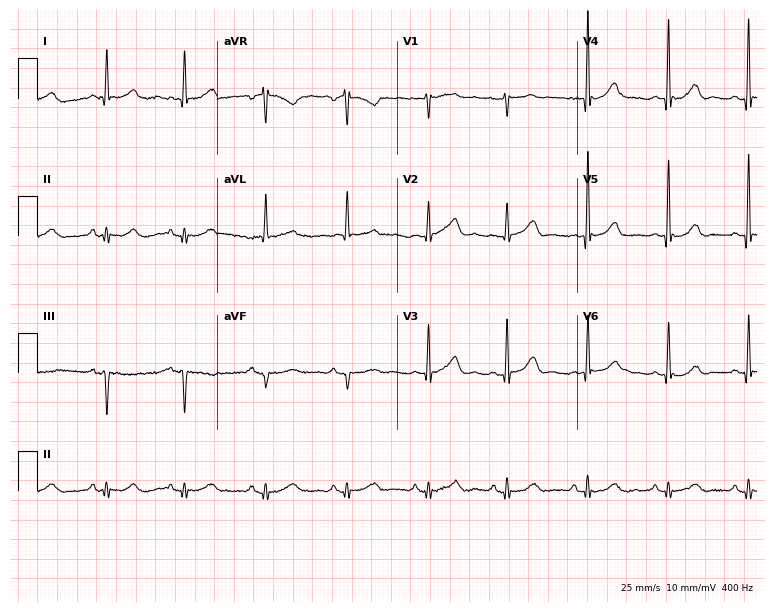
Standard 12-lead ECG recorded from a 76-year-old female. None of these six findings is recorded: first-degree AV block, right bundle branch block, left bundle branch block, sinus bradycardia, atrial fibrillation, sinus tachycardia. Other findings, if any, are not listed.